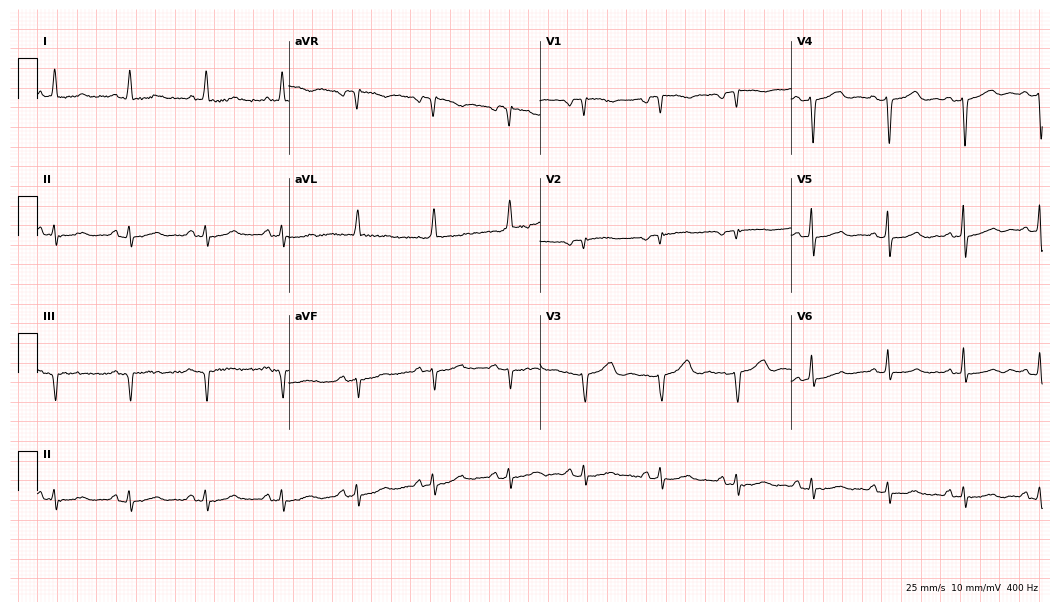
Standard 12-lead ECG recorded from an 83-year-old woman (10.2-second recording at 400 Hz). None of these six findings is recorded: first-degree AV block, right bundle branch block, left bundle branch block, sinus bradycardia, atrial fibrillation, sinus tachycardia. Other findings, if any, are not listed.